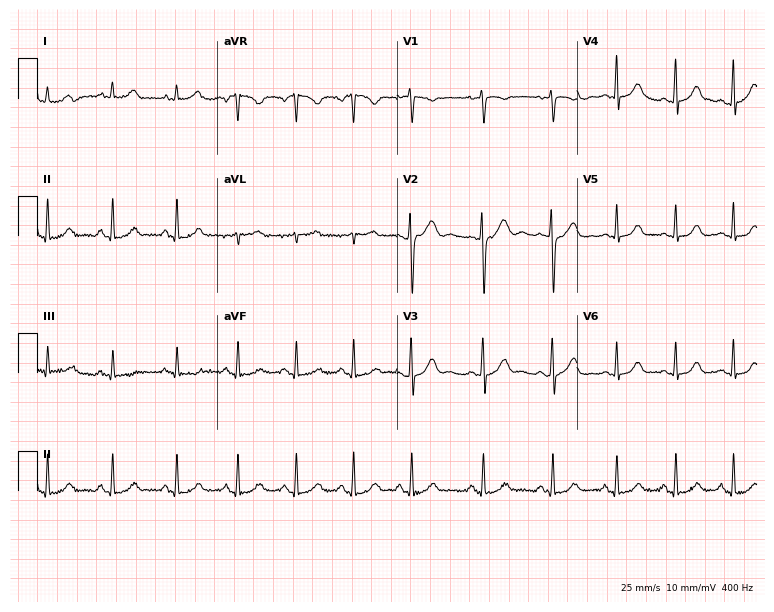
Standard 12-lead ECG recorded from a female patient, 23 years old (7.3-second recording at 400 Hz). None of these six findings is recorded: first-degree AV block, right bundle branch block, left bundle branch block, sinus bradycardia, atrial fibrillation, sinus tachycardia. Findings outside these six are not listed.